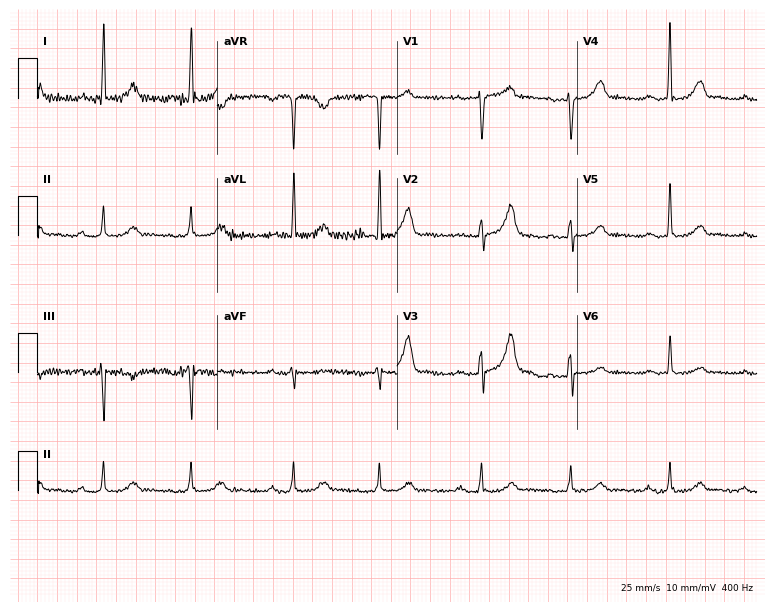
12-lead ECG from a female patient, 72 years old (7.3-second recording at 400 Hz). Shows first-degree AV block, atrial fibrillation.